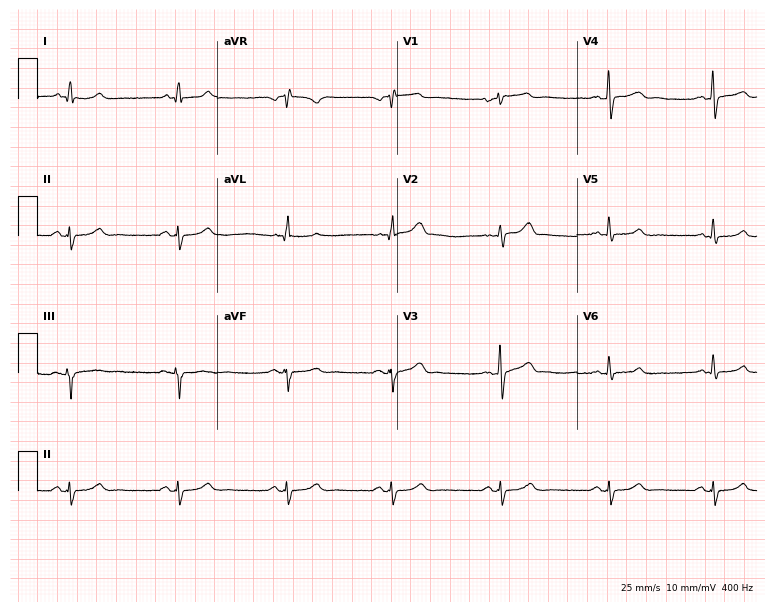
12-lead ECG (7.3-second recording at 400 Hz) from a 67-year-old male patient. Screened for six findings — first-degree AV block, right bundle branch block (RBBB), left bundle branch block (LBBB), sinus bradycardia, atrial fibrillation (AF), sinus tachycardia — none is recorded.